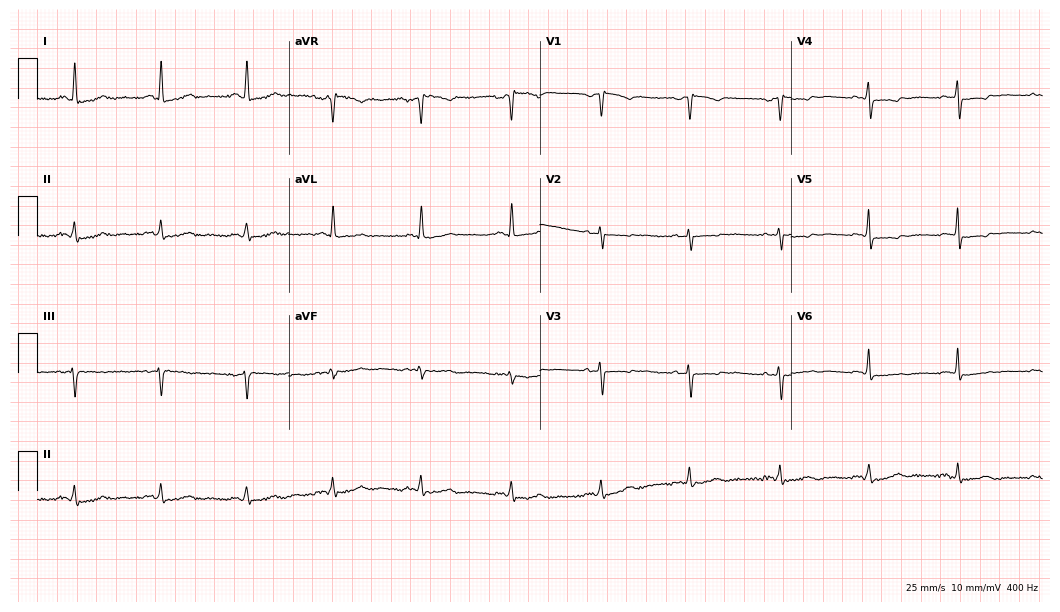
Electrocardiogram (10.2-second recording at 400 Hz), a 63-year-old female patient. Of the six screened findings (first-degree AV block, right bundle branch block, left bundle branch block, sinus bradycardia, atrial fibrillation, sinus tachycardia), none is recorded. Findings outside these six are not listed.